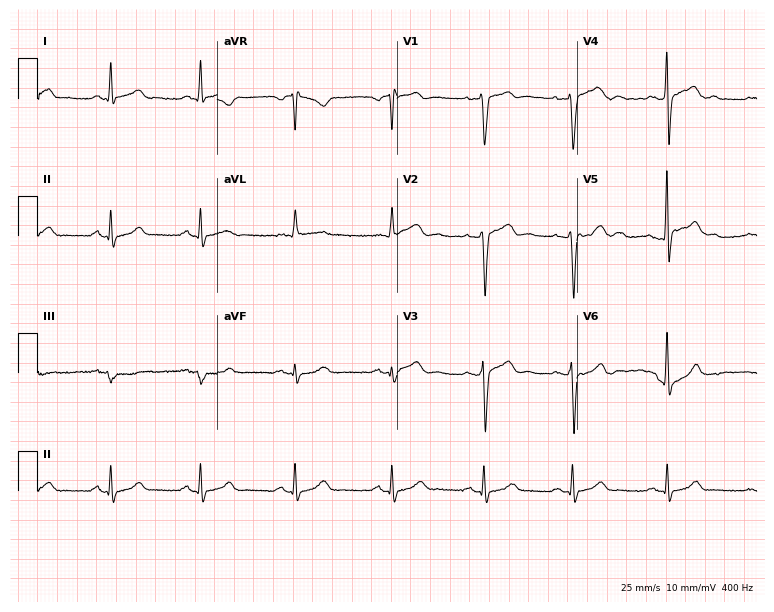
Standard 12-lead ECG recorded from a male, 47 years old. Read as a normal ECG.